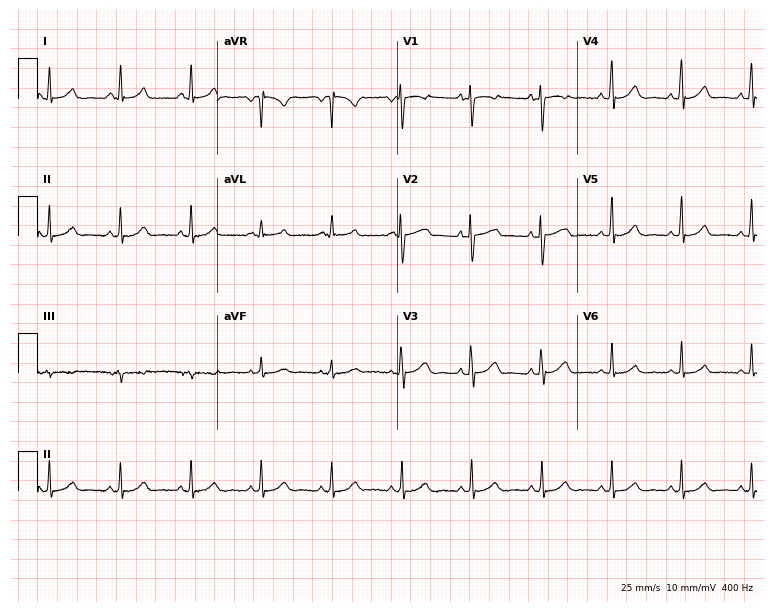
Electrocardiogram, a 39-year-old woman. Of the six screened findings (first-degree AV block, right bundle branch block, left bundle branch block, sinus bradycardia, atrial fibrillation, sinus tachycardia), none is recorded.